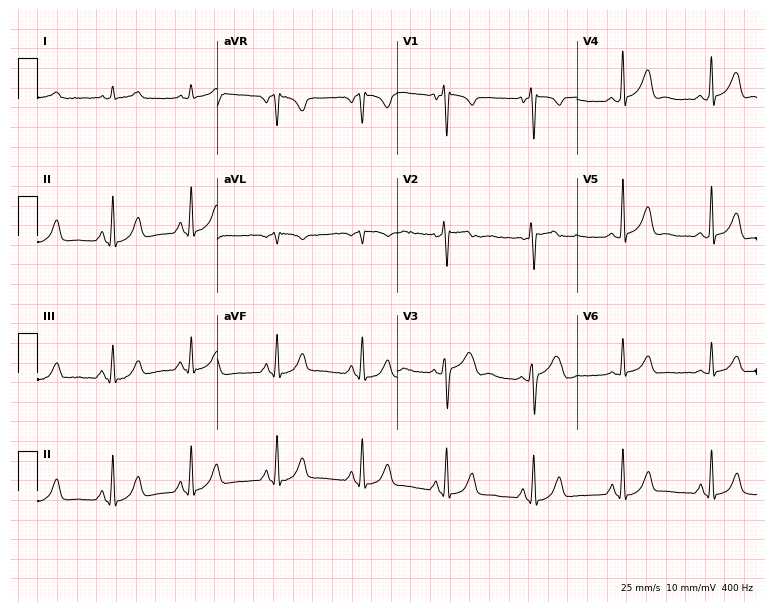
12-lead ECG from a man, 30 years old (7.3-second recording at 400 Hz). No first-degree AV block, right bundle branch block (RBBB), left bundle branch block (LBBB), sinus bradycardia, atrial fibrillation (AF) or sinus tachycardia recorded for this tracing. Only these six findings were labelled.